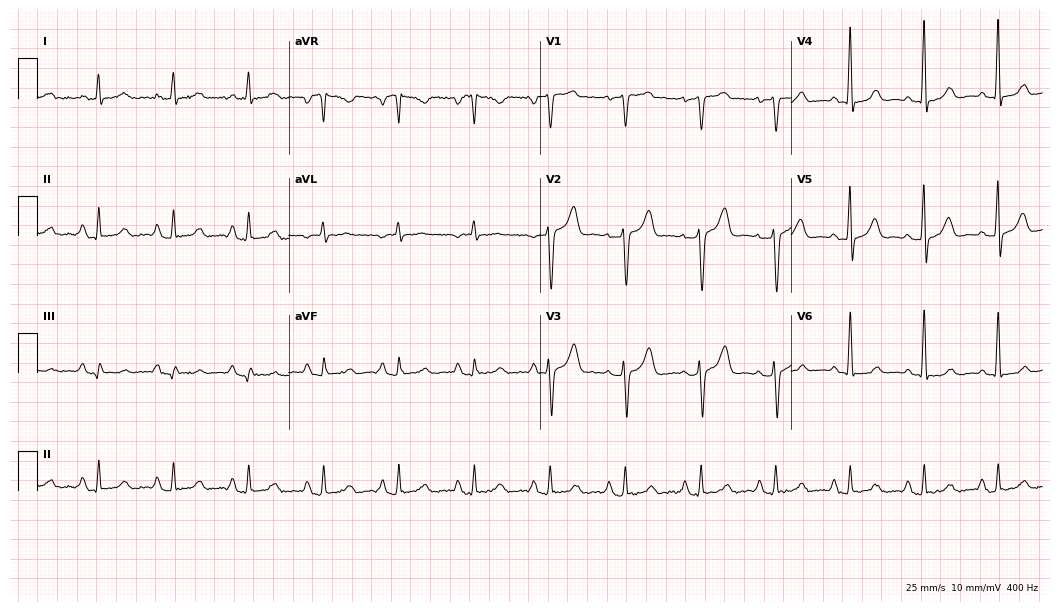
12-lead ECG from a male, 59 years old. No first-degree AV block, right bundle branch block, left bundle branch block, sinus bradycardia, atrial fibrillation or sinus tachycardia recorded for this tracing. Only these six findings were labelled.